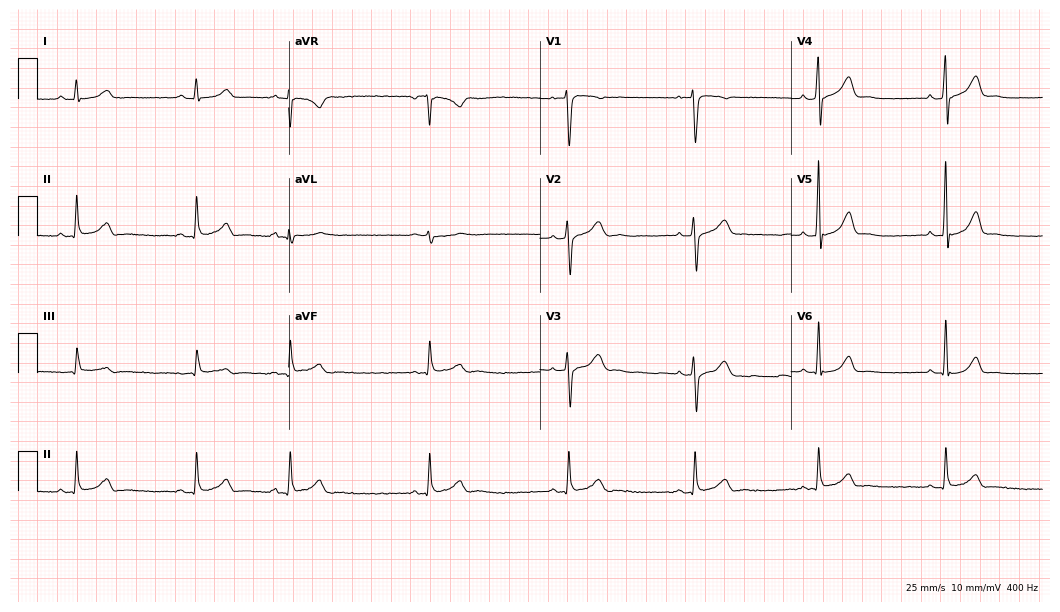
12-lead ECG from a male, 48 years old. Shows sinus bradycardia (a sinus rate of 50 beats per minute or less).